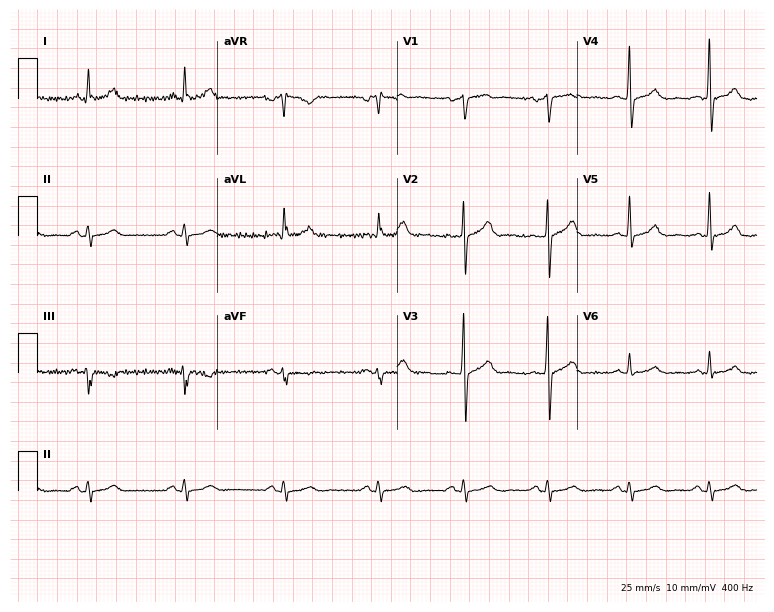
Resting 12-lead electrocardiogram (7.3-second recording at 400 Hz). Patient: a male, 44 years old. None of these six findings is recorded: first-degree AV block, right bundle branch block (RBBB), left bundle branch block (LBBB), sinus bradycardia, atrial fibrillation (AF), sinus tachycardia. Findings outside these six are not listed.